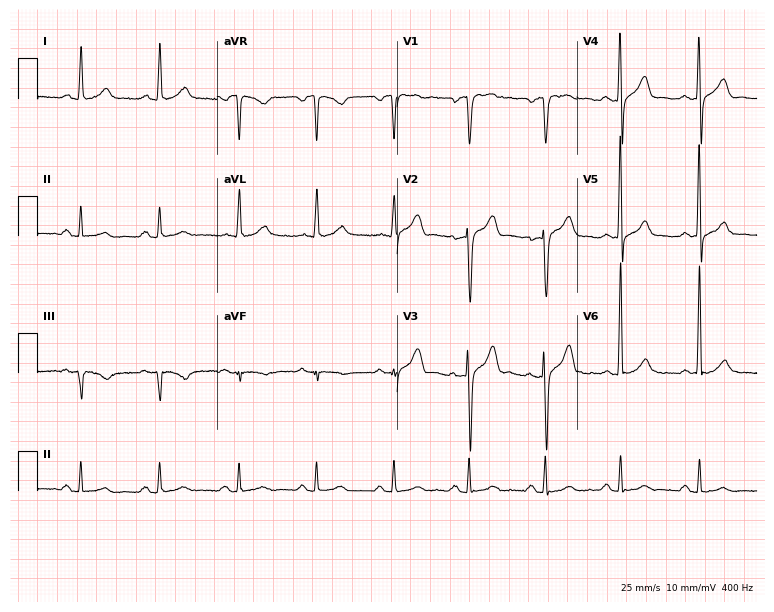
12-lead ECG from a man, 43 years old. No first-degree AV block, right bundle branch block (RBBB), left bundle branch block (LBBB), sinus bradycardia, atrial fibrillation (AF) or sinus tachycardia recorded for this tracing. Findings outside these six are not listed.